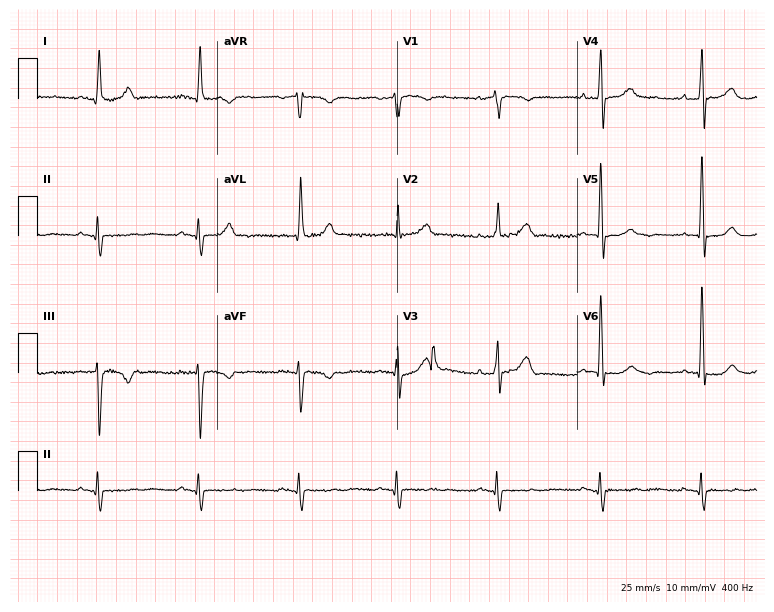
Resting 12-lead electrocardiogram. Patient: a male, 78 years old. None of these six findings is recorded: first-degree AV block, right bundle branch block (RBBB), left bundle branch block (LBBB), sinus bradycardia, atrial fibrillation (AF), sinus tachycardia. Only these six findings were labelled.